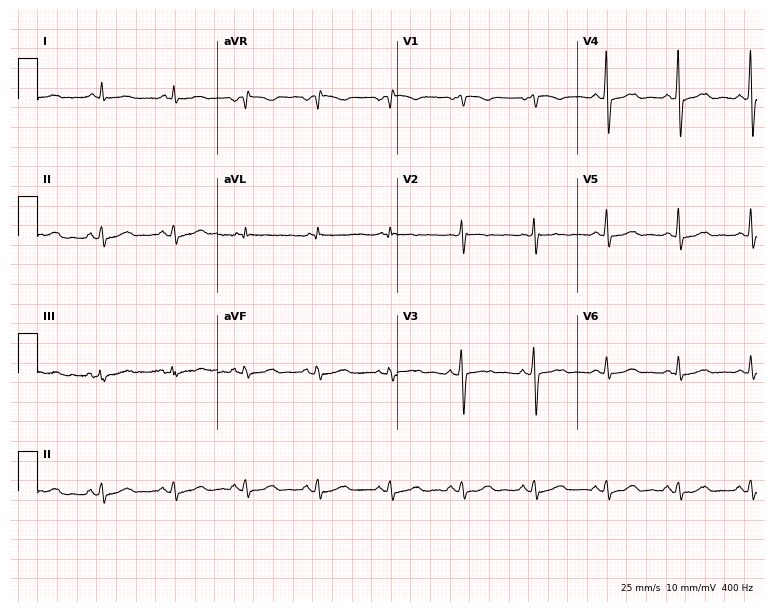
12-lead ECG from a man, 74 years old. No first-degree AV block, right bundle branch block, left bundle branch block, sinus bradycardia, atrial fibrillation or sinus tachycardia recorded for this tracing.